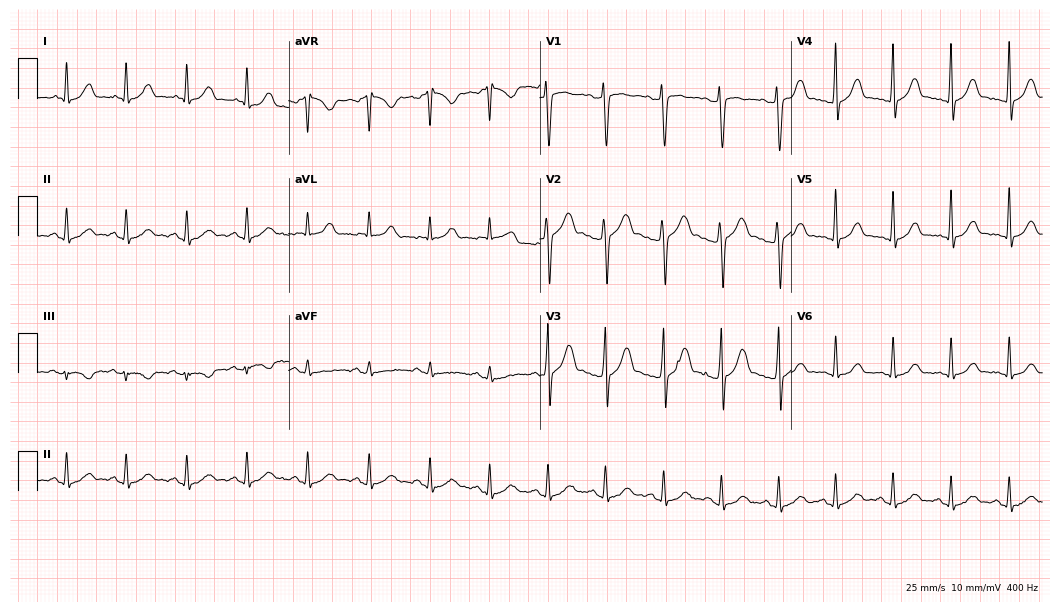
ECG (10.2-second recording at 400 Hz) — a male patient, 36 years old. Labelled as a normal ECG.